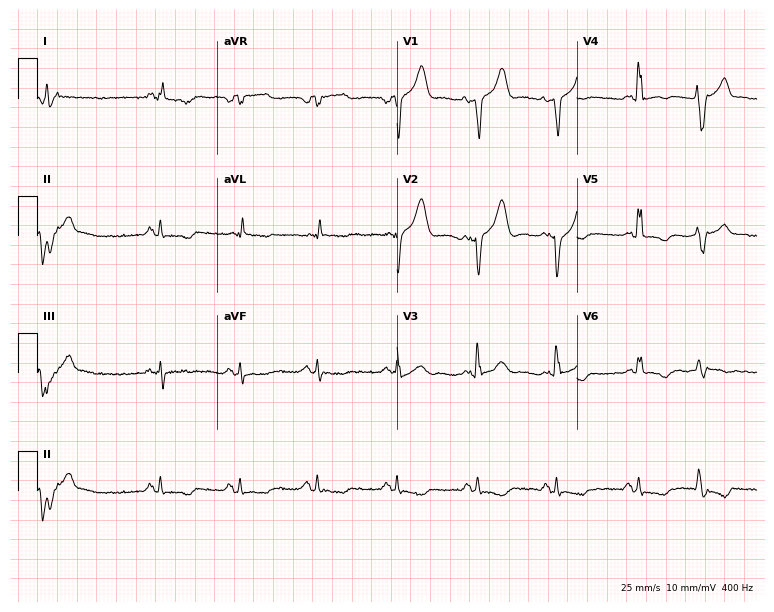
ECG (7.3-second recording at 400 Hz) — a man, 67 years old. Screened for six findings — first-degree AV block, right bundle branch block, left bundle branch block, sinus bradycardia, atrial fibrillation, sinus tachycardia — none is recorded.